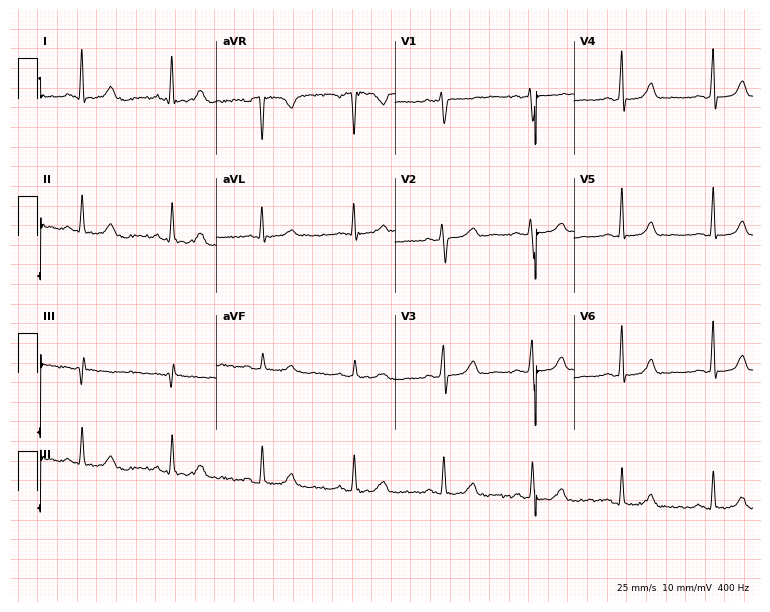
12-lead ECG from a 46-year-old female (7.3-second recording at 400 Hz). No first-degree AV block, right bundle branch block, left bundle branch block, sinus bradycardia, atrial fibrillation or sinus tachycardia recorded for this tracing. Other findings, if any, are not listed.